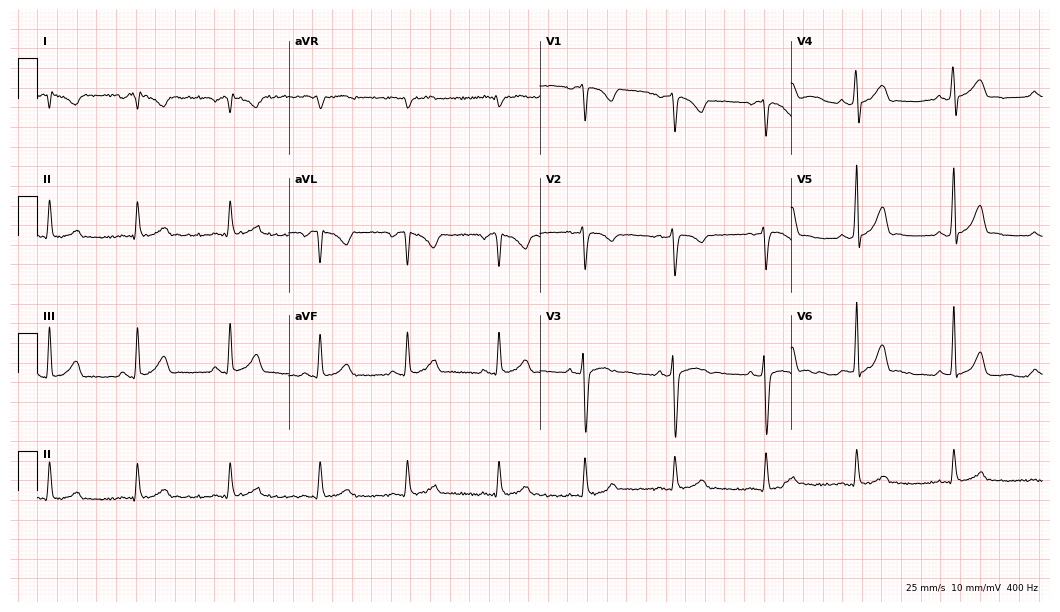
Standard 12-lead ECG recorded from a woman, 30 years old (10.2-second recording at 400 Hz). None of these six findings is recorded: first-degree AV block, right bundle branch block, left bundle branch block, sinus bradycardia, atrial fibrillation, sinus tachycardia. Only these six findings were labelled.